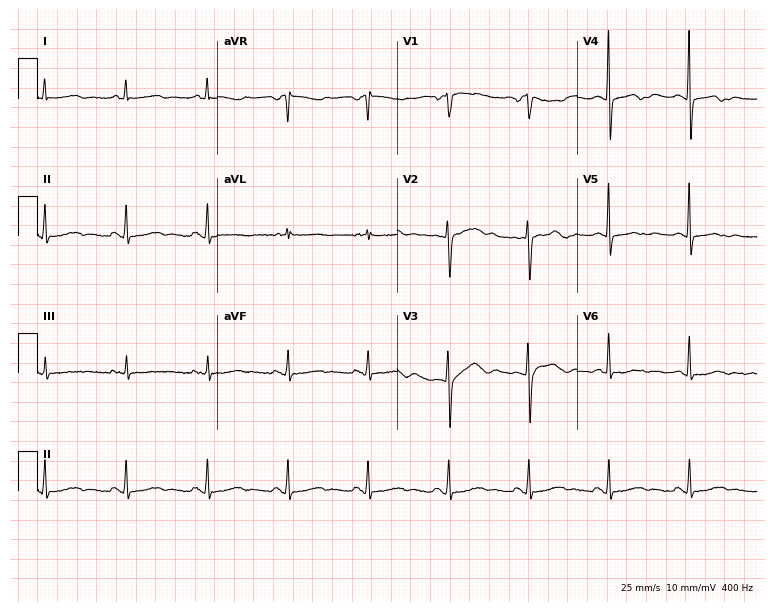
Electrocardiogram, a female patient, 55 years old. Of the six screened findings (first-degree AV block, right bundle branch block, left bundle branch block, sinus bradycardia, atrial fibrillation, sinus tachycardia), none is recorded.